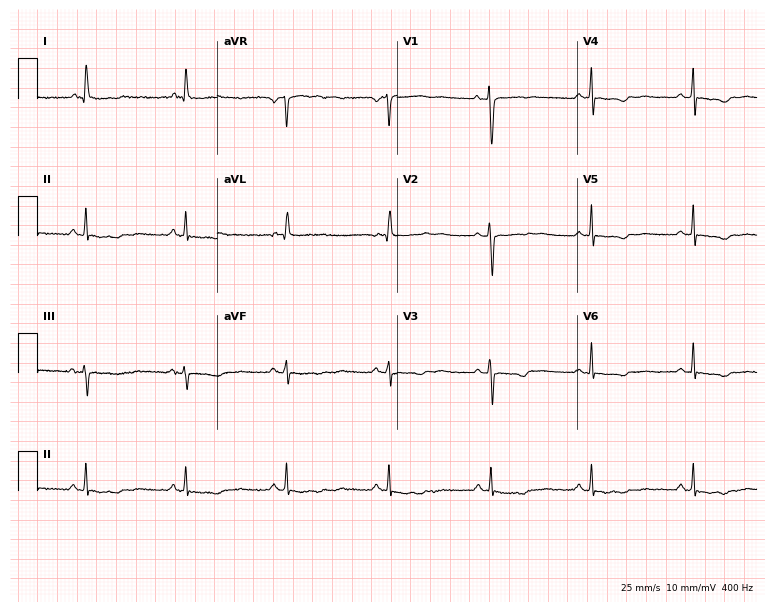
ECG (7.3-second recording at 400 Hz) — a female patient, 59 years old. Screened for six findings — first-degree AV block, right bundle branch block, left bundle branch block, sinus bradycardia, atrial fibrillation, sinus tachycardia — none is recorded.